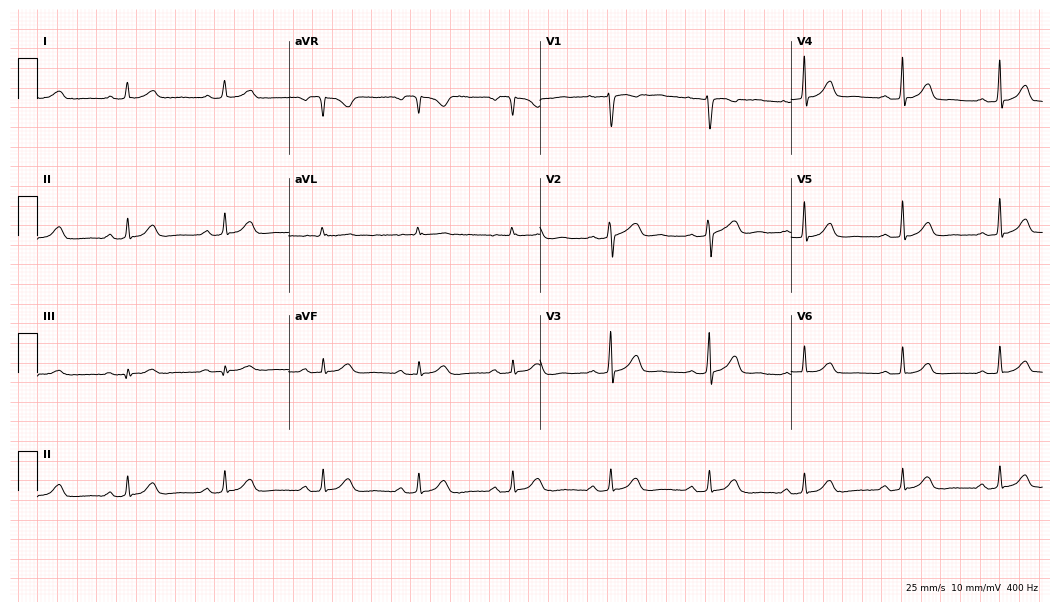
ECG (10.2-second recording at 400 Hz) — a 37-year-old female. Findings include first-degree AV block.